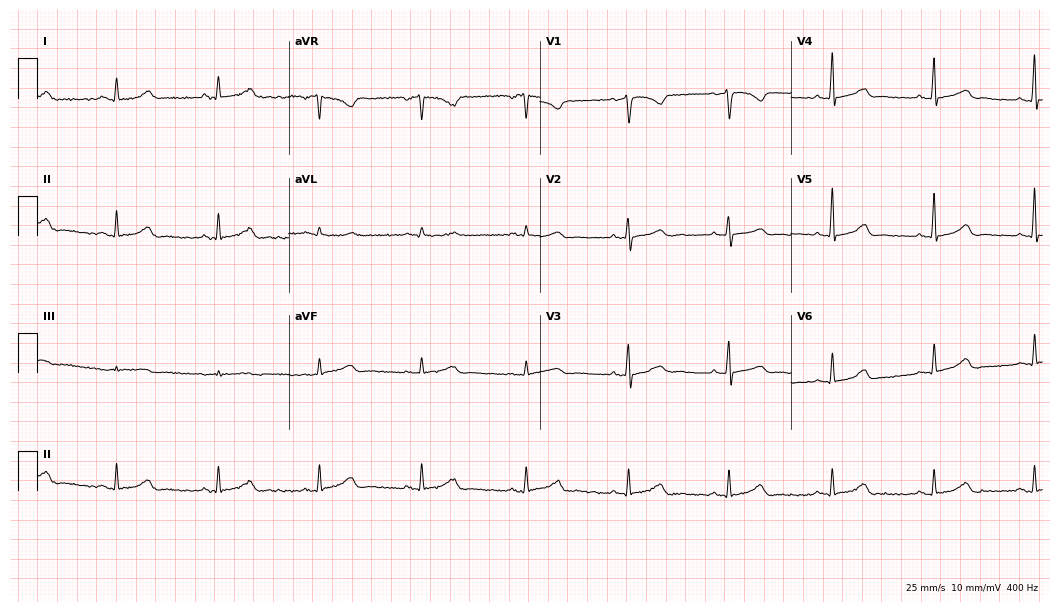
12-lead ECG from a 37-year-old female. Recorded interpretation: within normal limits.